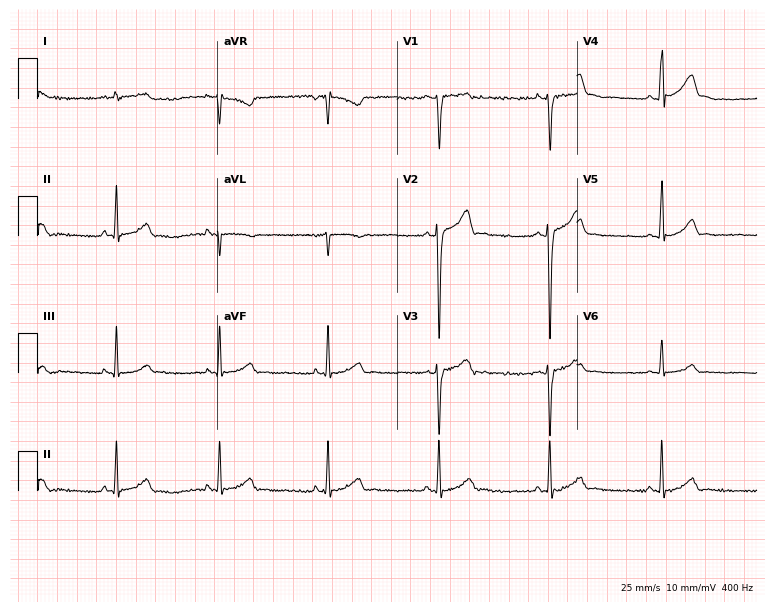
ECG — a 23-year-old male. Labelled as a normal ECG.